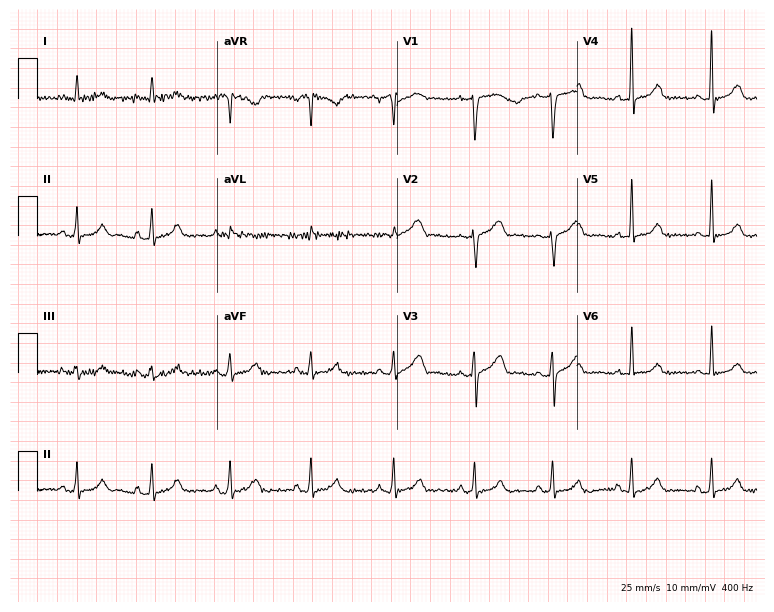
Electrocardiogram, a 33-year-old woman. Of the six screened findings (first-degree AV block, right bundle branch block (RBBB), left bundle branch block (LBBB), sinus bradycardia, atrial fibrillation (AF), sinus tachycardia), none is recorded. Findings outside these six are not listed.